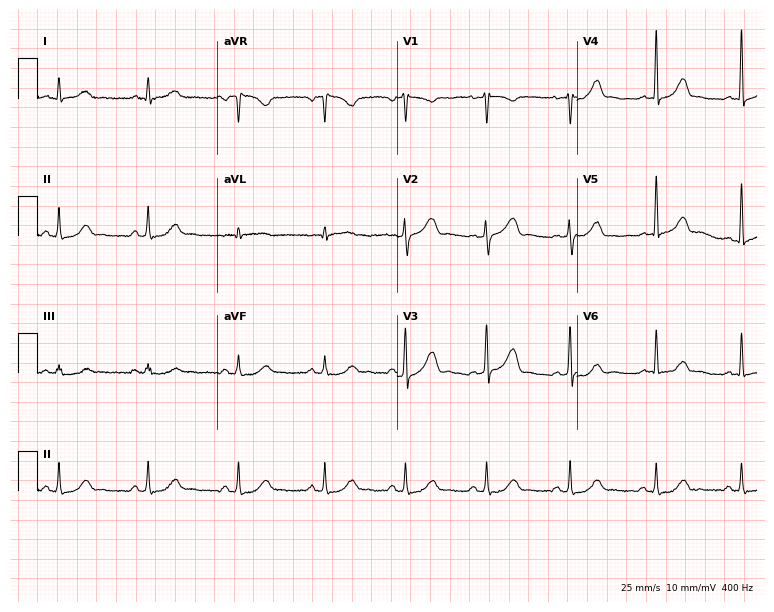
Standard 12-lead ECG recorded from a female patient, 33 years old (7.3-second recording at 400 Hz). Read as a normal ECG.